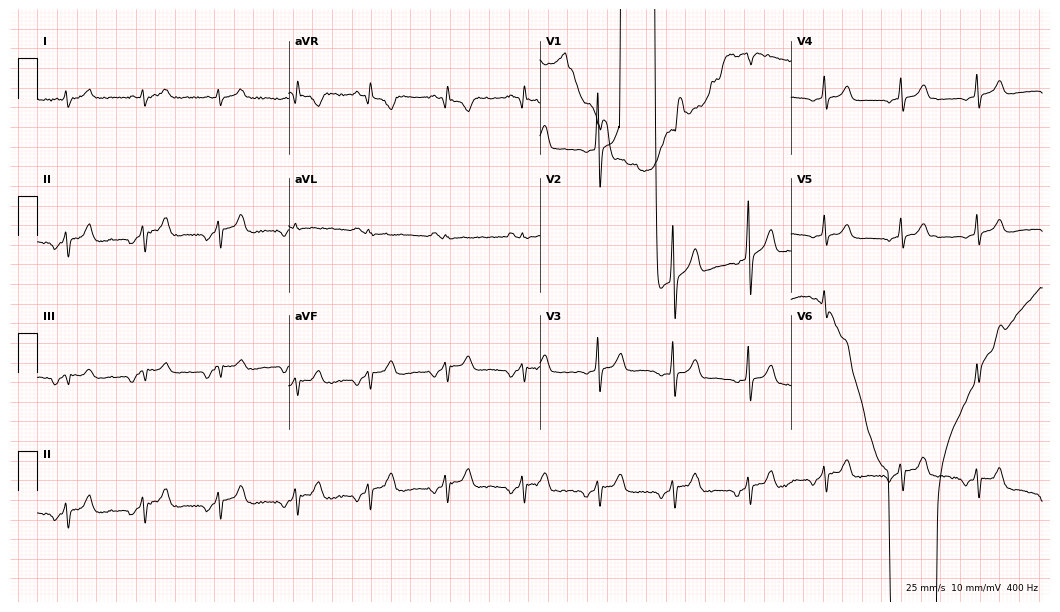
12-lead ECG from a male, 22 years old. Screened for six findings — first-degree AV block, right bundle branch block, left bundle branch block, sinus bradycardia, atrial fibrillation, sinus tachycardia — none is recorded.